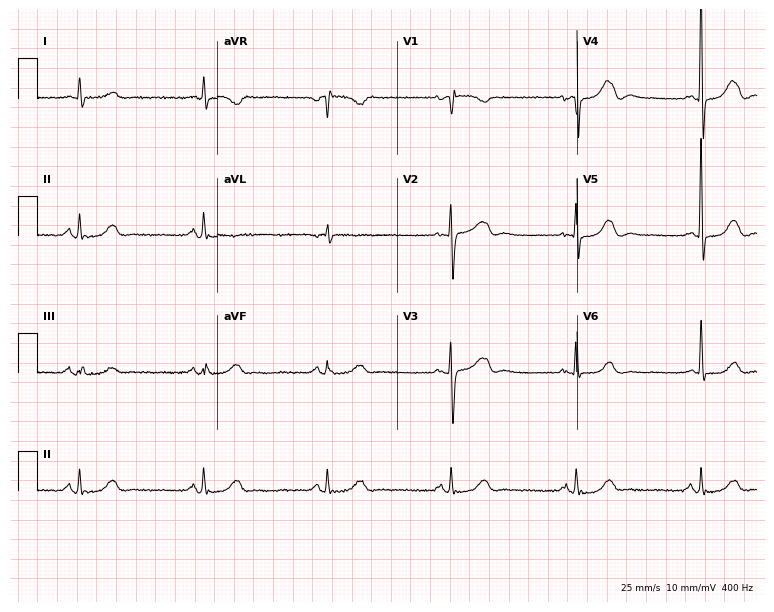
Electrocardiogram (7.3-second recording at 400 Hz), a woman, 71 years old. Interpretation includes sinus bradycardia (a sinus rate of 50 beats per minute or less).